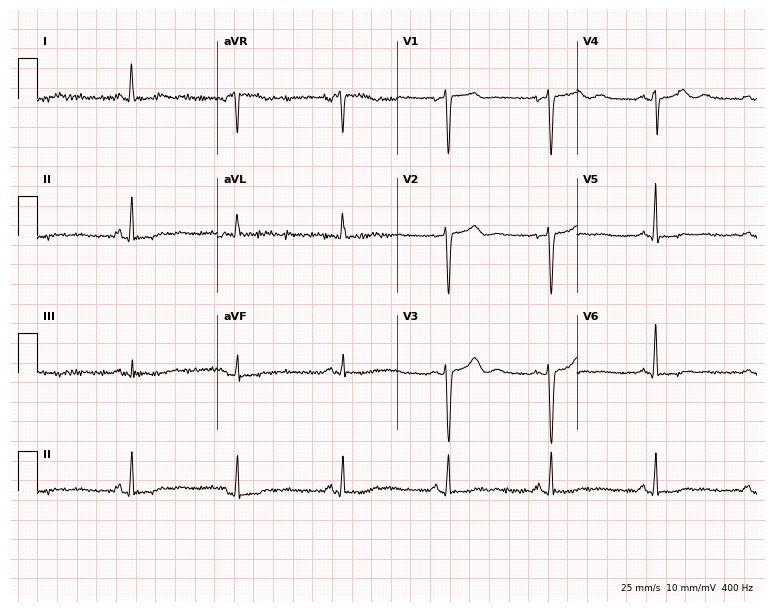
Resting 12-lead electrocardiogram. Patient: a 53-year-old female. None of these six findings is recorded: first-degree AV block, right bundle branch block, left bundle branch block, sinus bradycardia, atrial fibrillation, sinus tachycardia.